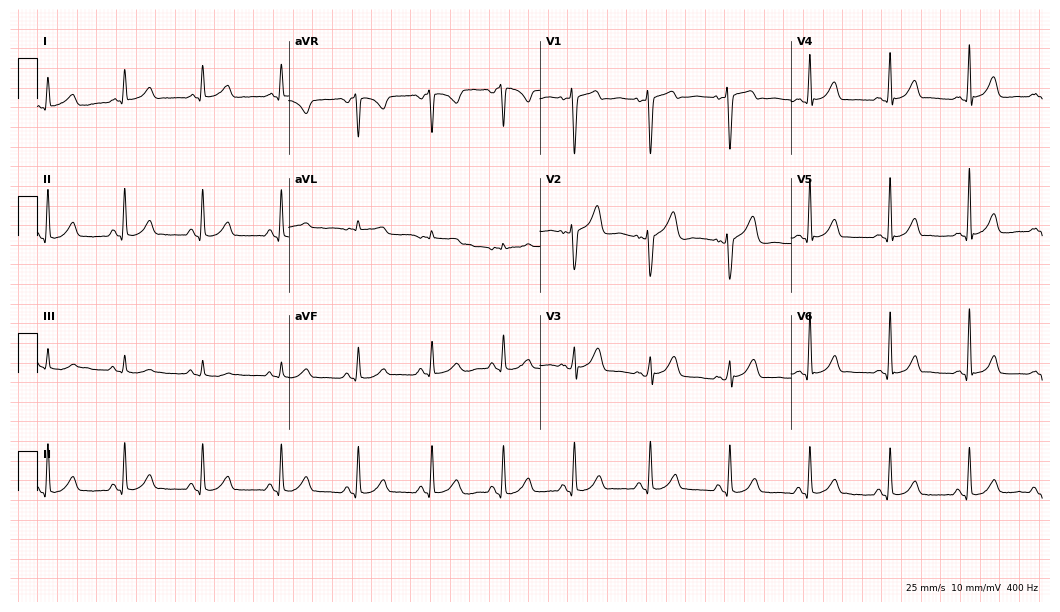
Resting 12-lead electrocardiogram. Patient: a female, 38 years old. Read as a normal ECG.